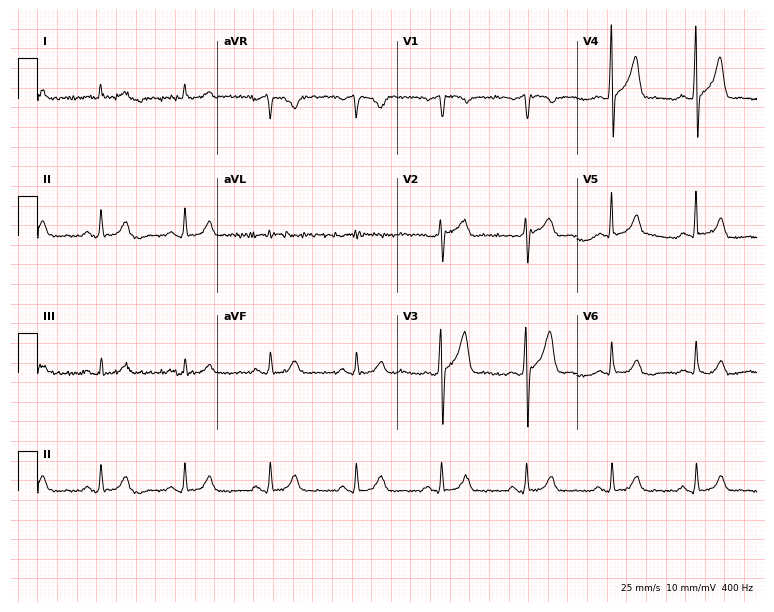
Electrocardiogram, a 57-year-old man. Overall reading on record: normal ECG.